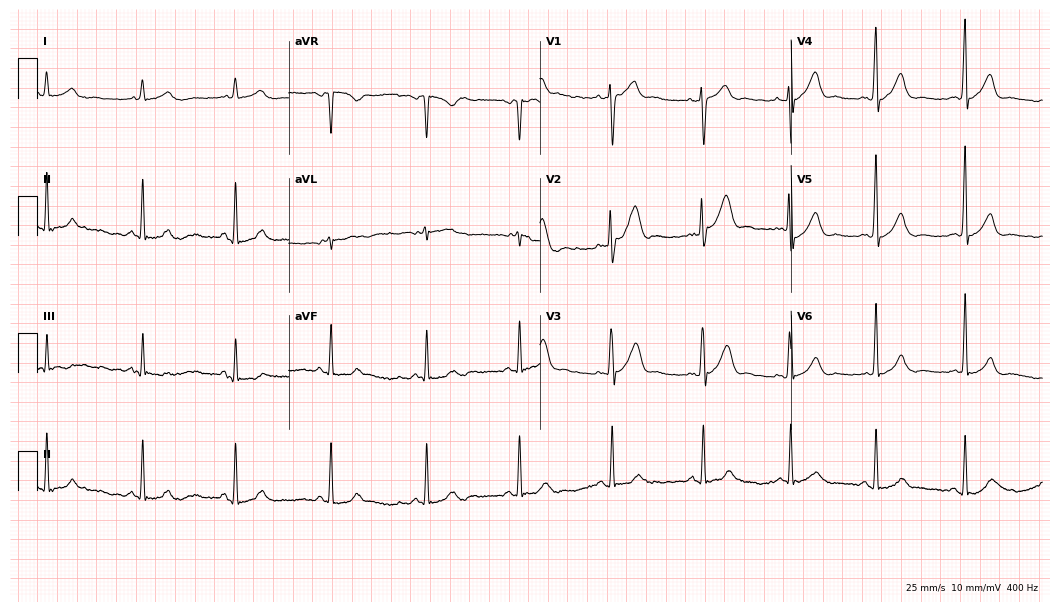
Electrocardiogram (10.2-second recording at 400 Hz), a 36-year-old man. Overall reading on record: normal ECG.